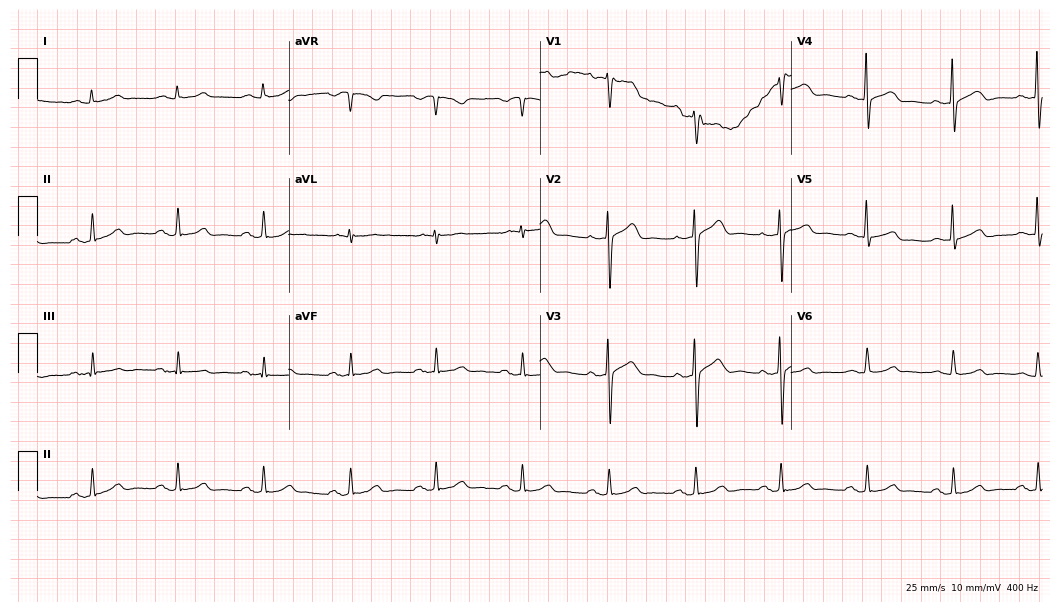
12-lead ECG from a 63-year-old man. Screened for six findings — first-degree AV block, right bundle branch block, left bundle branch block, sinus bradycardia, atrial fibrillation, sinus tachycardia — none is recorded.